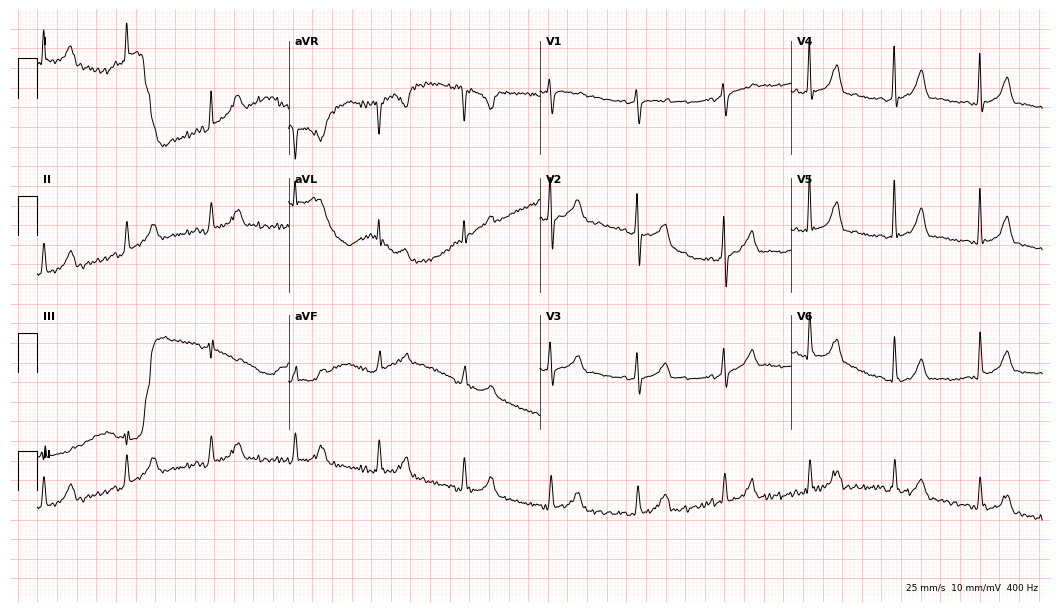
Resting 12-lead electrocardiogram. Patient: a female, 67 years old. Read as a normal ECG.